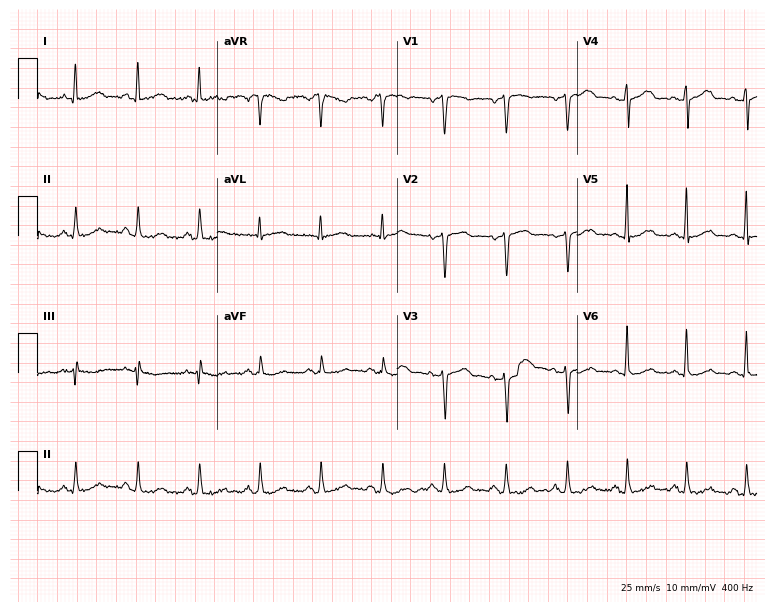
Electrocardiogram (7.3-second recording at 400 Hz), a female patient, 56 years old. Overall reading on record: normal ECG.